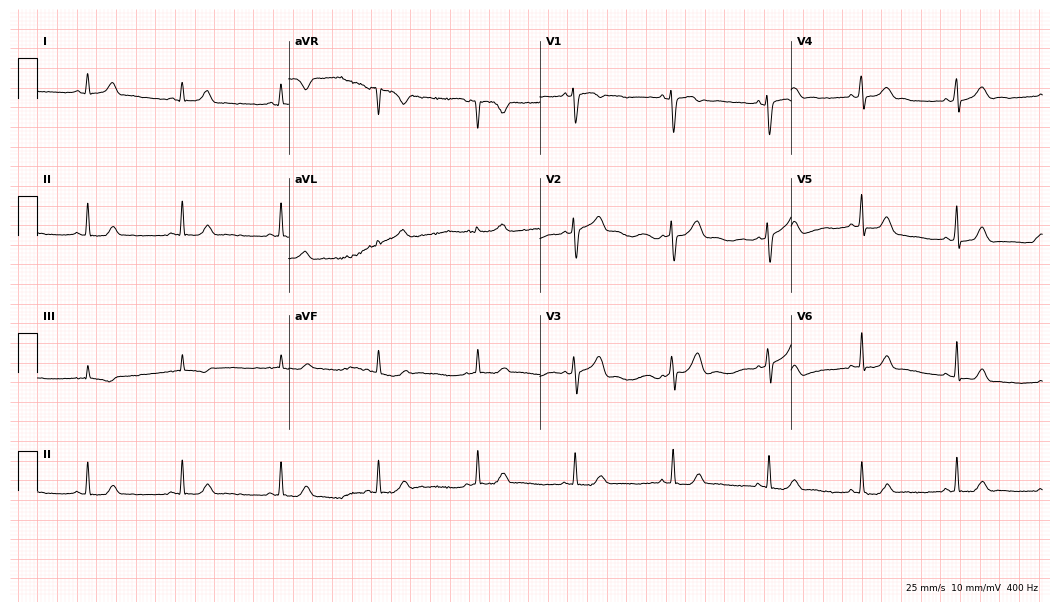
Standard 12-lead ECG recorded from a 29-year-old female. Read as a normal ECG.